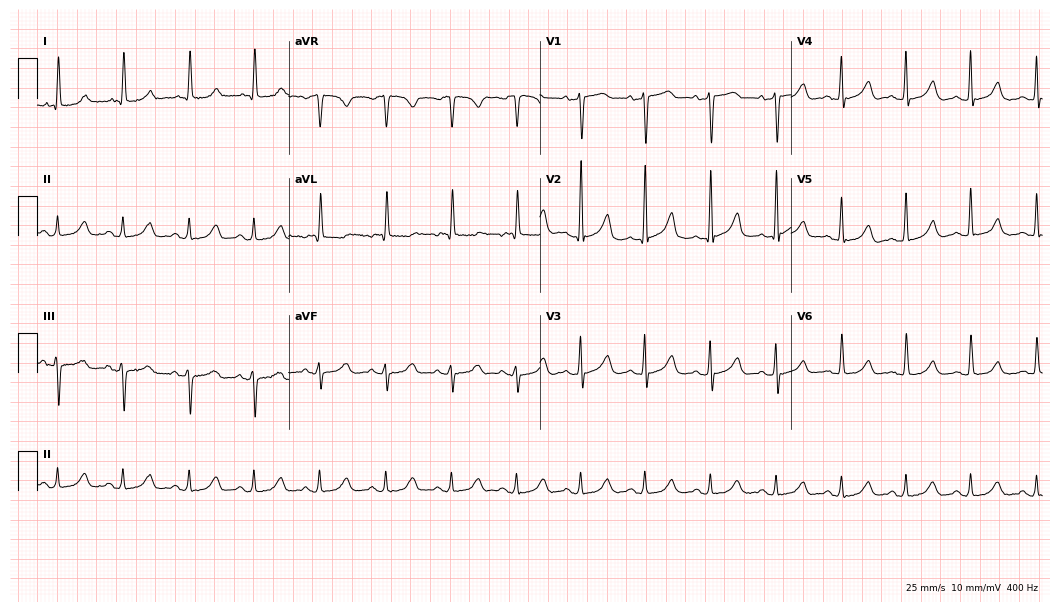
12-lead ECG from a 77-year-old woman (10.2-second recording at 400 Hz). Recorded interpretation: within normal limits.